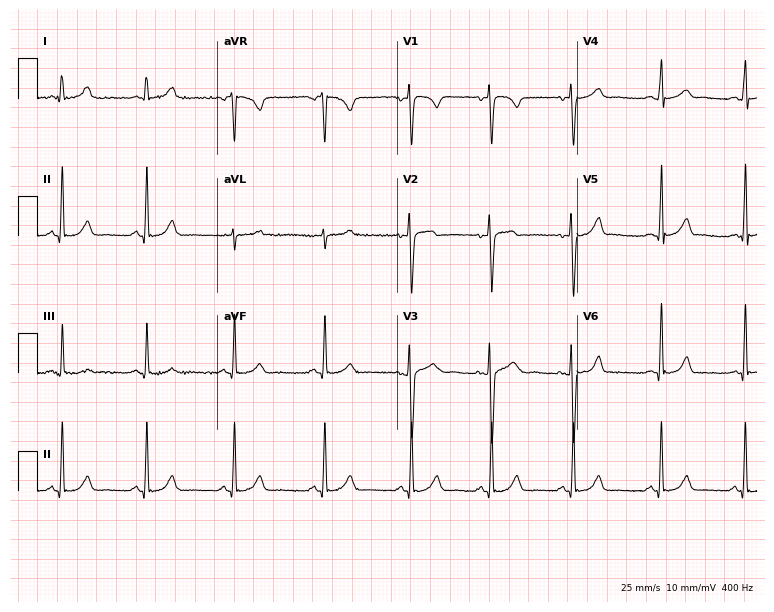
Electrocardiogram, a female patient, 25 years old. Of the six screened findings (first-degree AV block, right bundle branch block (RBBB), left bundle branch block (LBBB), sinus bradycardia, atrial fibrillation (AF), sinus tachycardia), none is recorded.